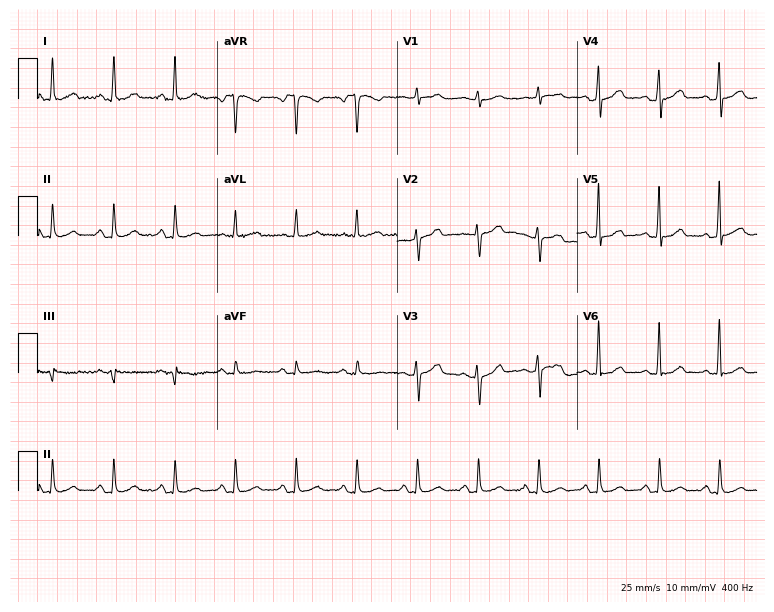
12-lead ECG (7.3-second recording at 400 Hz) from a 41-year-old female. Labelled as a normal ECG.